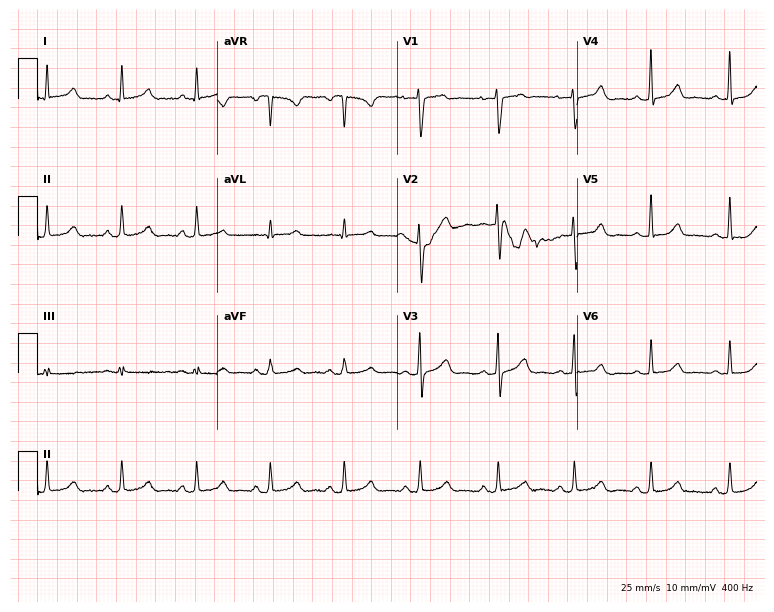
Electrocardiogram (7.3-second recording at 400 Hz), a female patient, 42 years old. Overall reading on record: normal ECG.